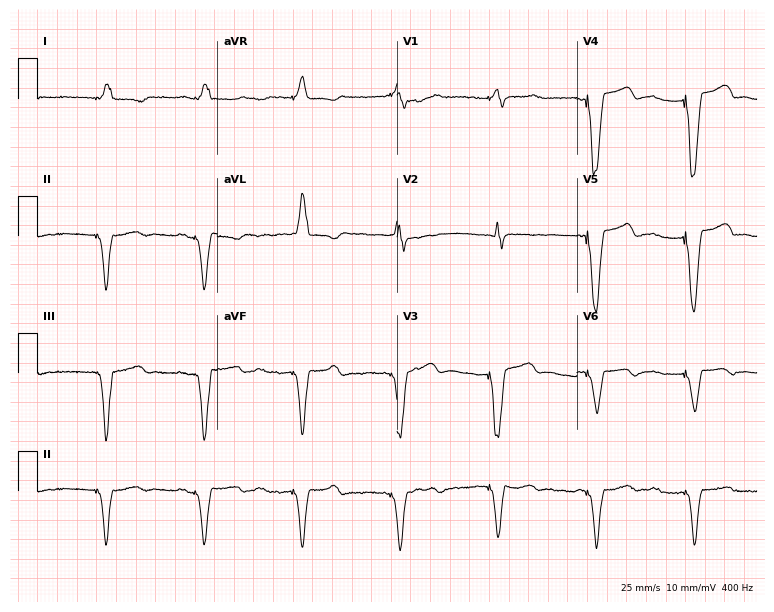
Resting 12-lead electrocardiogram. Patient: a female, 82 years old. None of these six findings is recorded: first-degree AV block, right bundle branch block, left bundle branch block, sinus bradycardia, atrial fibrillation, sinus tachycardia. Only these six findings were labelled.